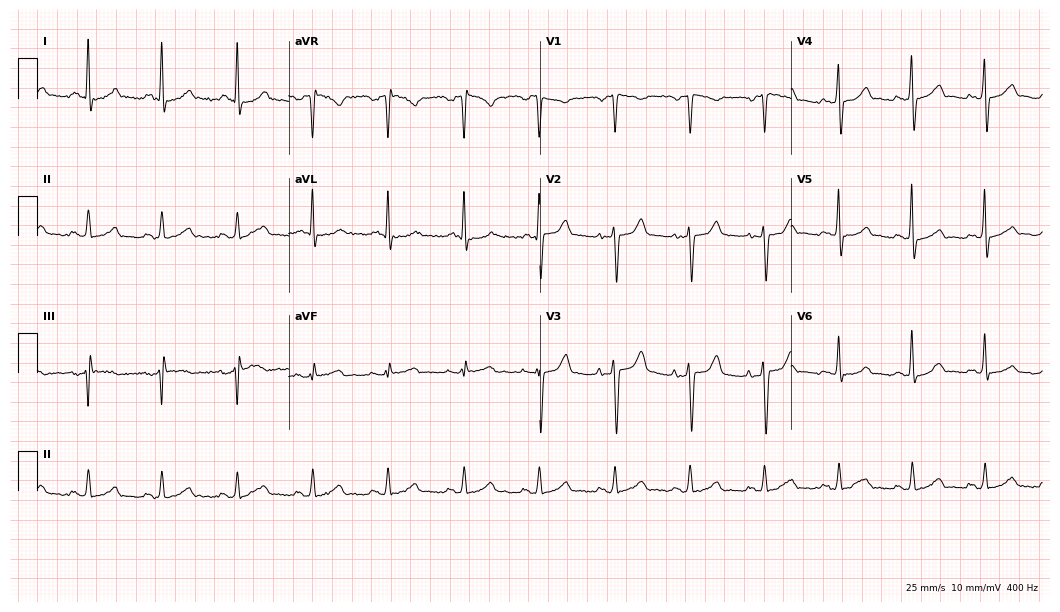
Standard 12-lead ECG recorded from a 61-year-old male patient (10.2-second recording at 400 Hz). Read as a normal ECG.